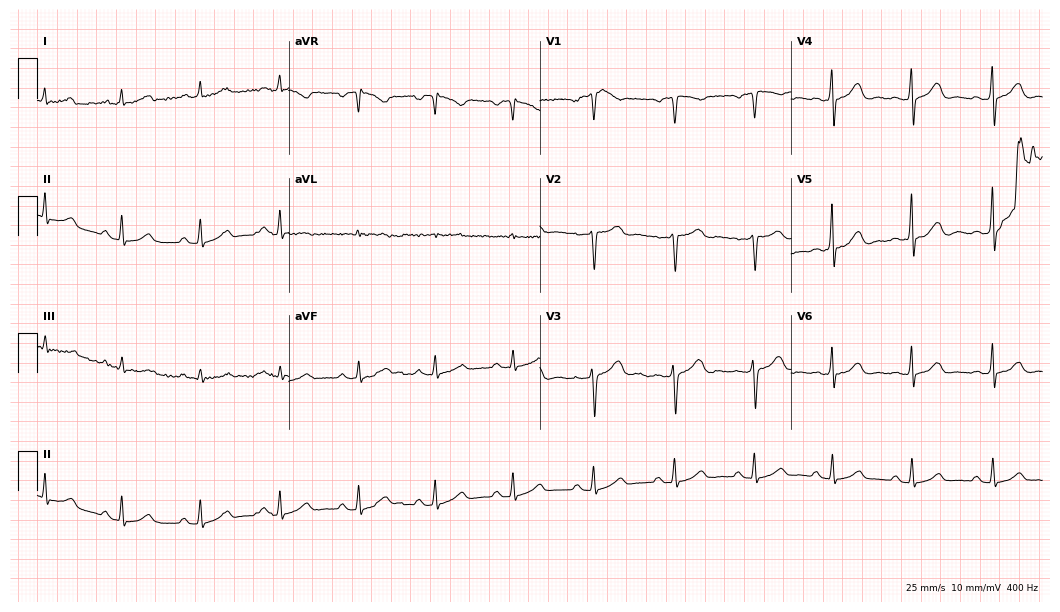
Resting 12-lead electrocardiogram. Patient: a woman, 45 years old. Read as a normal ECG.